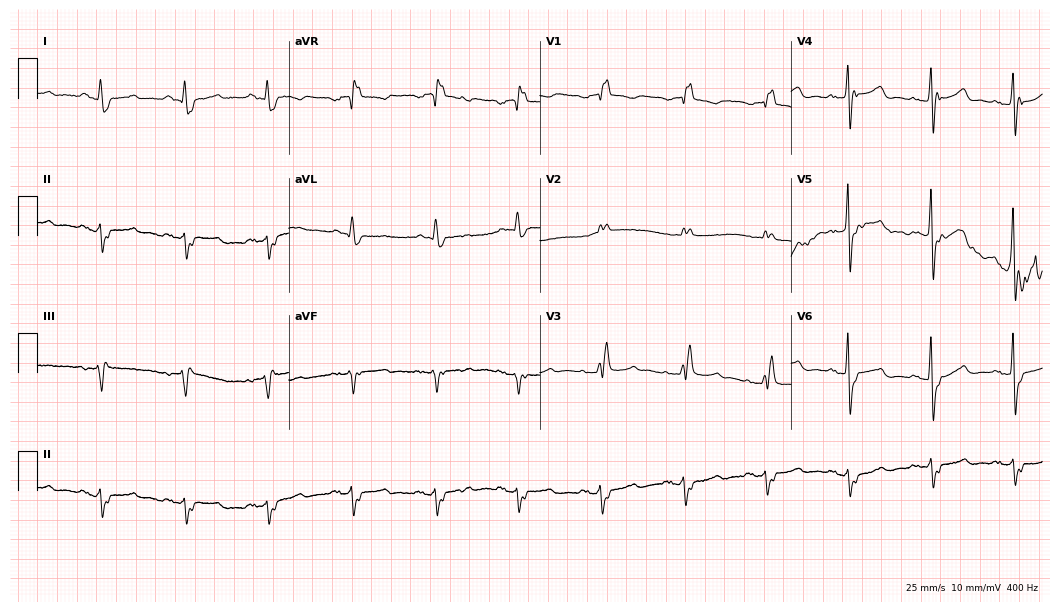
Standard 12-lead ECG recorded from a 58-year-old woman (10.2-second recording at 400 Hz). The tracing shows right bundle branch block.